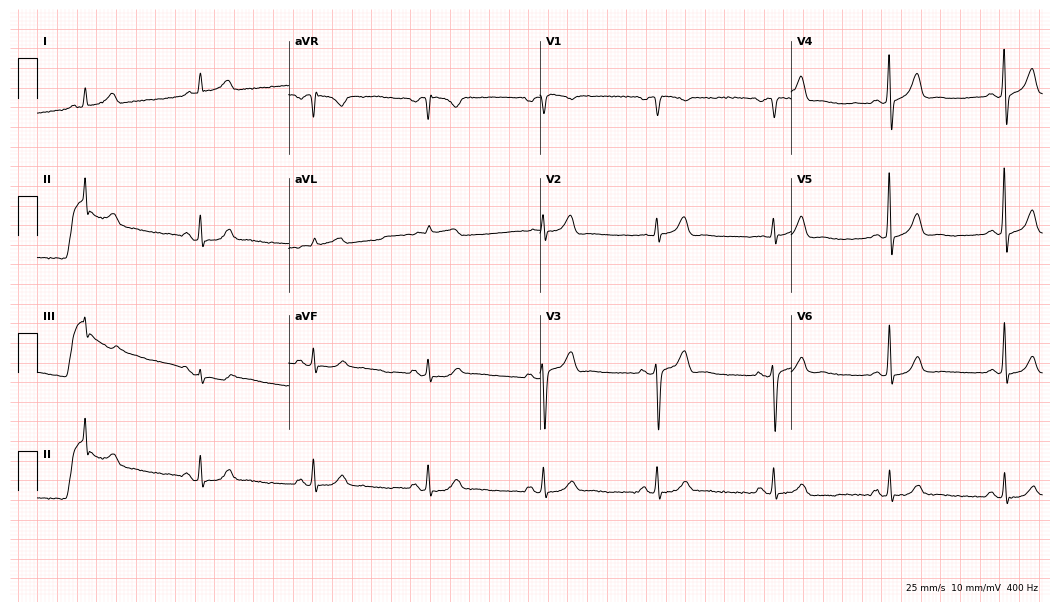
ECG — a 61-year-old man. Labelled as a normal ECG.